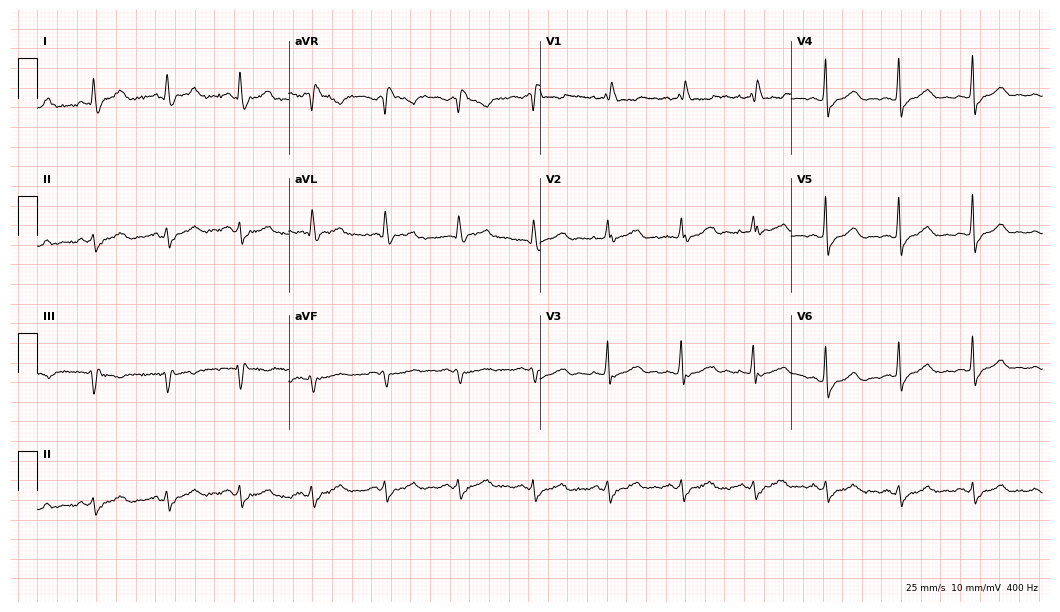
Electrocardiogram, a female, 72 years old. Interpretation includes right bundle branch block.